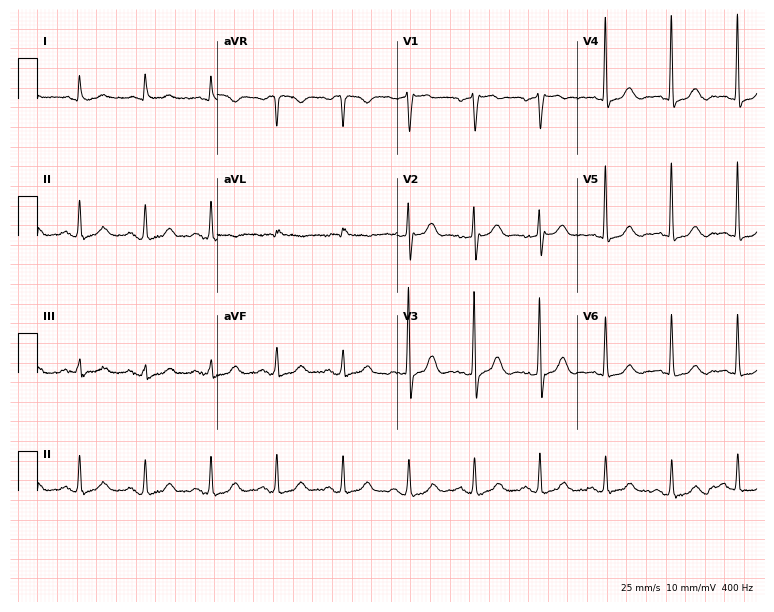
12-lead ECG from a 74-year-old man. Recorded interpretation: within normal limits.